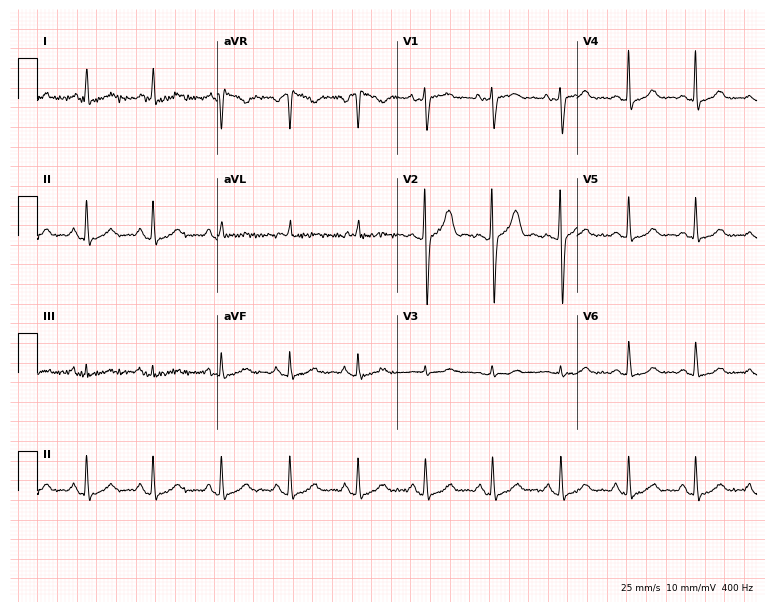
ECG — a 55-year-old woman. Labelled as a normal ECG.